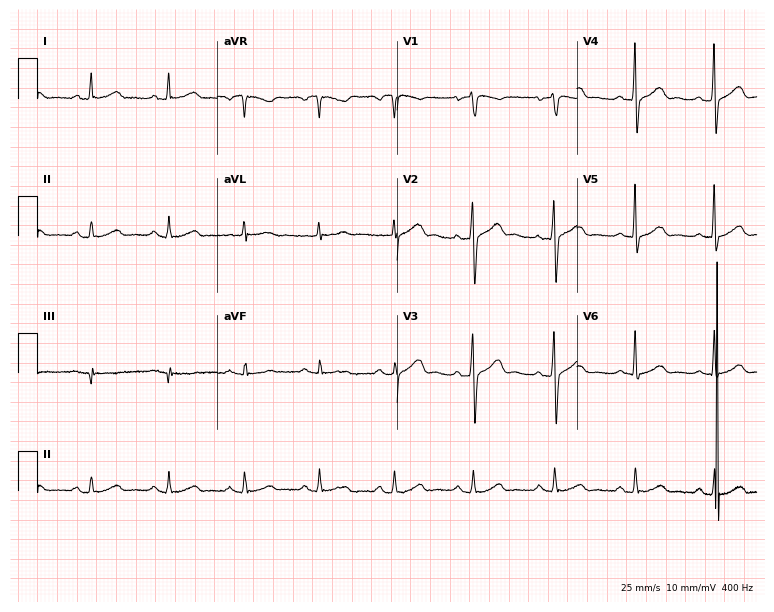
12-lead ECG from a 43-year-old male. Recorded interpretation: within normal limits.